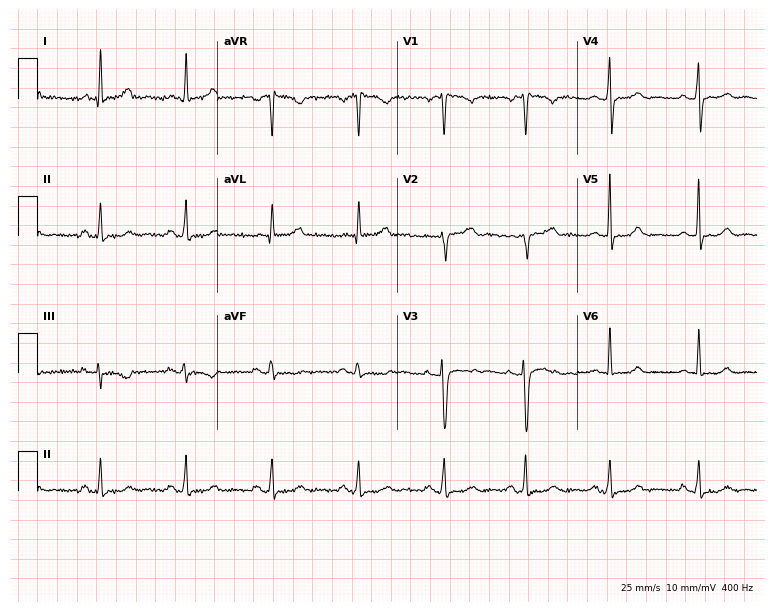
ECG (7.3-second recording at 400 Hz) — a female patient, 42 years old. Labelled as a normal ECG.